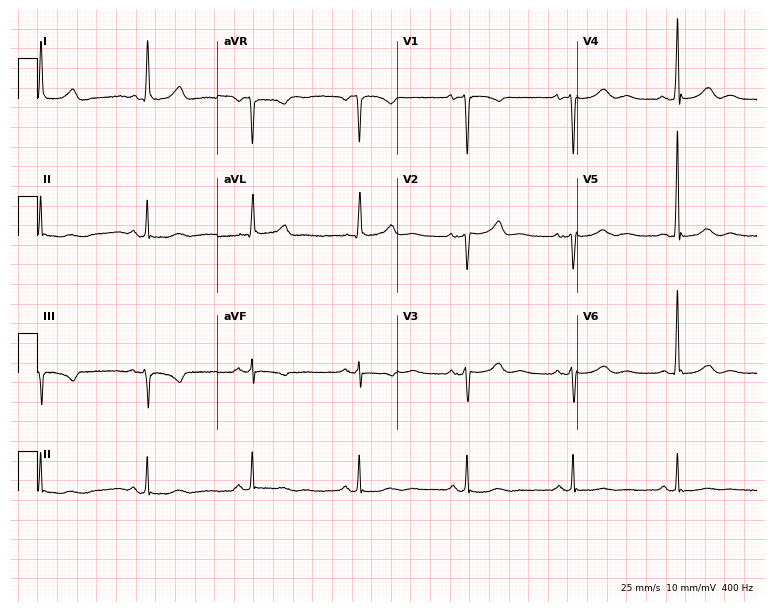
ECG (7.3-second recording at 400 Hz) — a 73-year-old female. Labelled as a normal ECG.